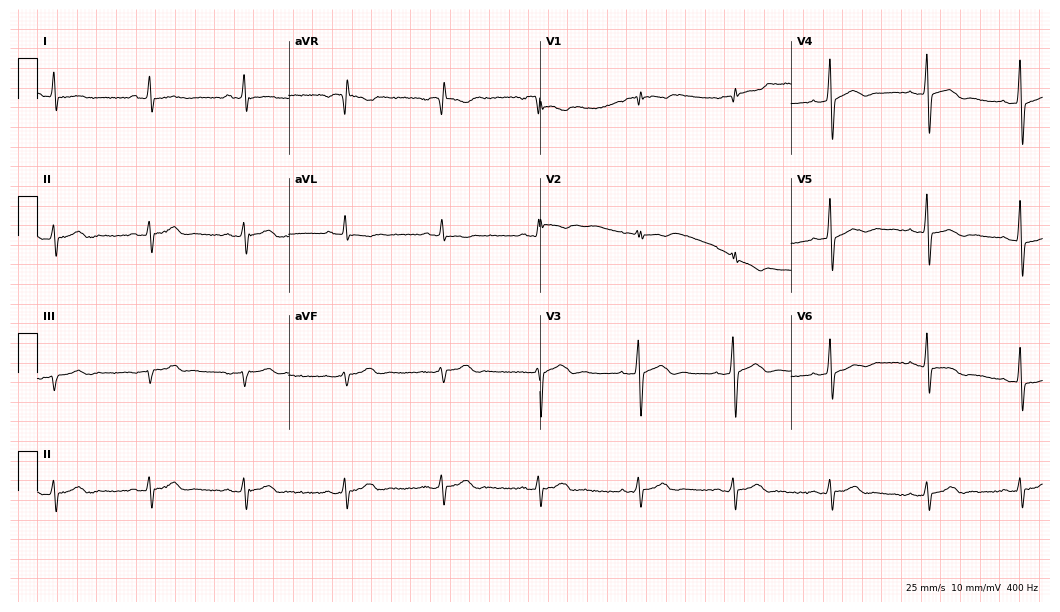
Electrocardiogram (10.2-second recording at 400 Hz), a male, 42 years old. Of the six screened findings (first-degree AV block, right bundle branch block, left bundle branch block, sinus bradycardia, atrial fibrillation, sinus tachycardia), none is recorded. Other findings, if any, are not listed.